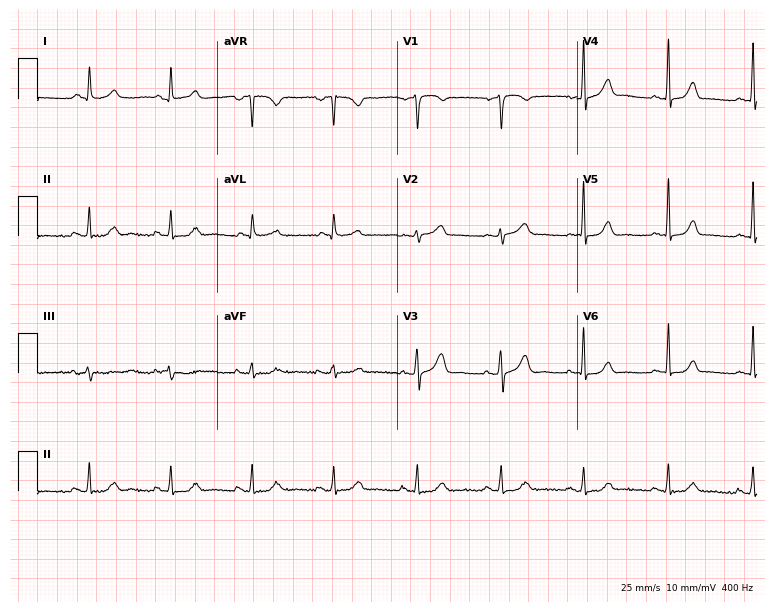
Standard 12-lead ECG recorded from a woman, 52 years old. Read as a normal ECG.